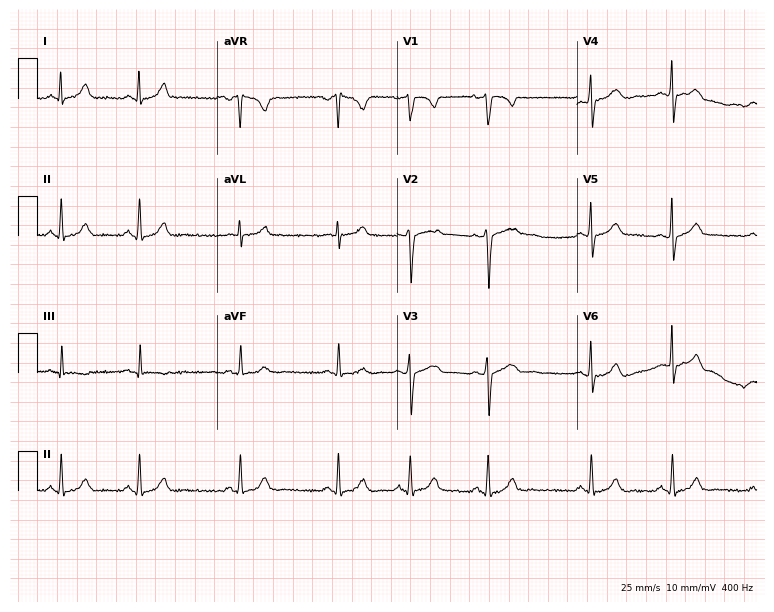
Resting 12-lead electrocardiogram. Patient: a female, 17 years old. Read as a normal ECG.